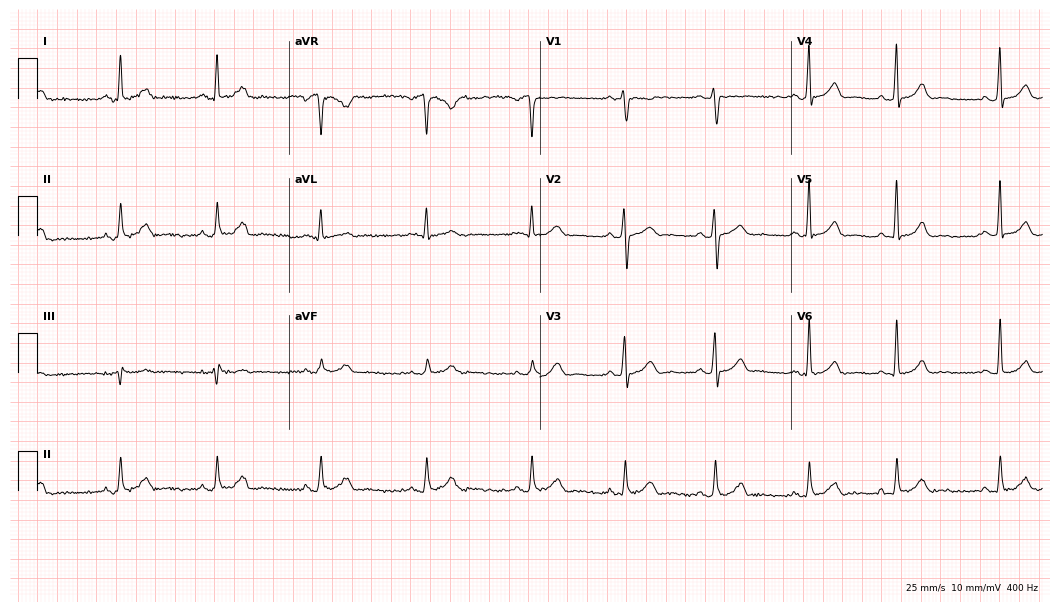
Resting 12-lead electrocardiogram (10.2-second recording at 400 Hz). Patient: a 29-year-old female. Read as a normal ECG.